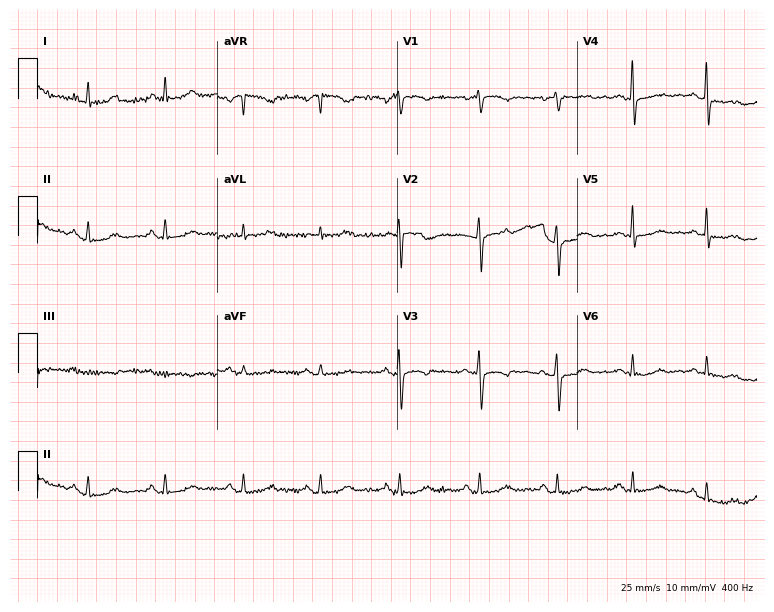
ECG (7.3-second recording at 400 Hz) — a 62-year-old female. Screened for six findings — first-degree AV block, right bundle branch block, left bundle branch block, sinus bradycardia, atrial fibrillation, sinus tachycardia — none is recorded.